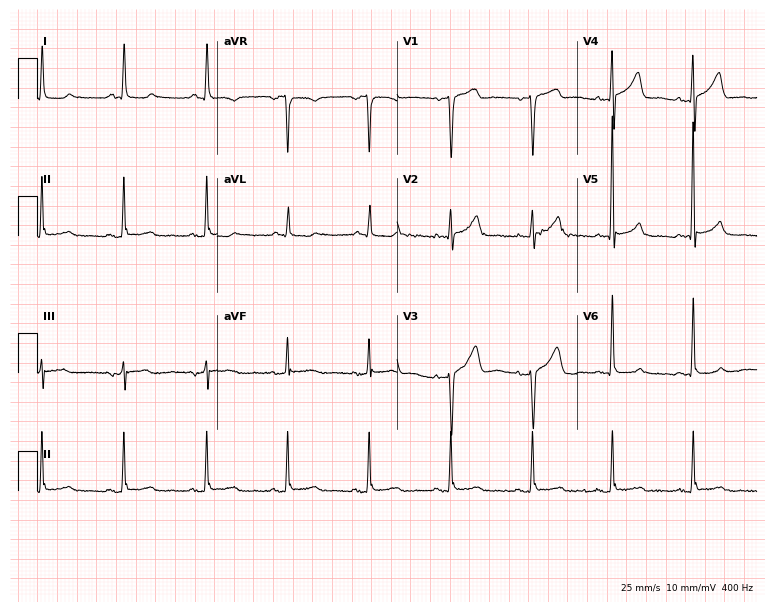
12-lead ECG from a 54-year-old female patient. Screened for six findings — first-degree AV block, right bundle branch block, left bundle branch block, sinus bradycardia, atrial fibrillation, sinus tachycardia — none is recorded.